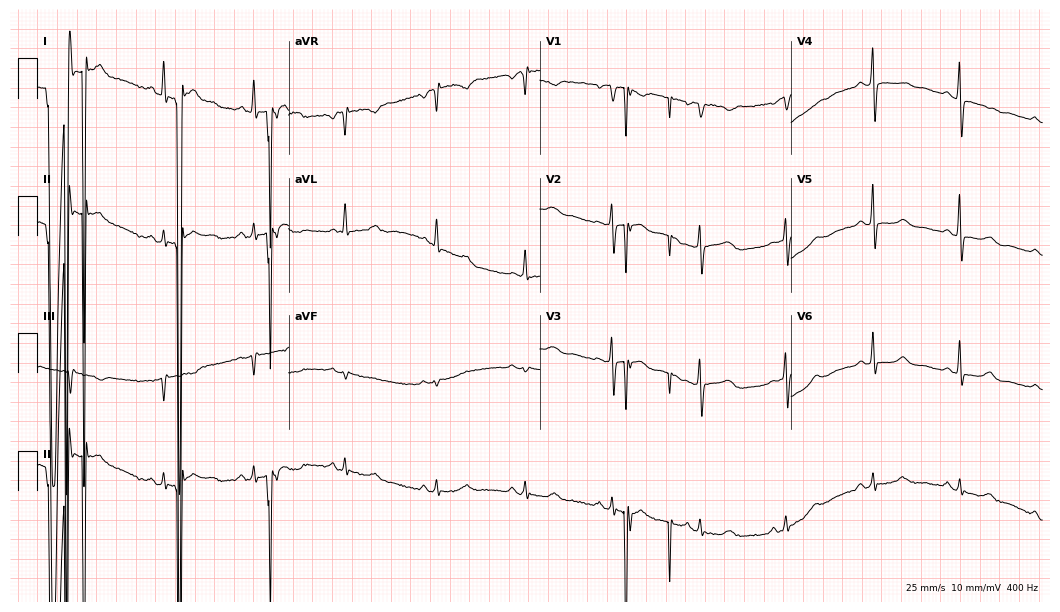
12-lead ECG from a woman, 57 years old. No first-degree AV block, right bundle branch block (RBBB), left bundle branch block (LBBB), sinus bradycardia, atrial fibrillation (AF) or sinus tachycardia recorded for this tracing.